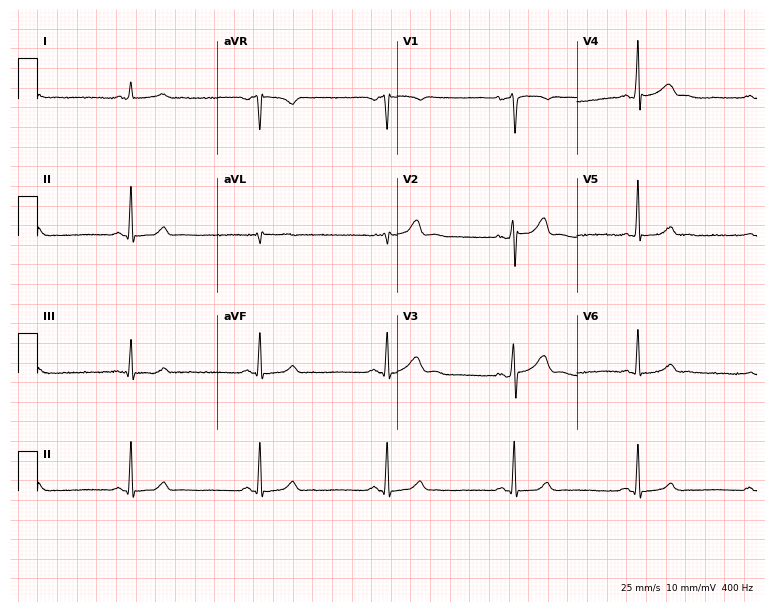
ECG — a man, 64 years old. Screened for six findings — first-degree AV block, right bundle branch block (RBBB), left bundle branch block (LBBB), sinus bradycardia, atrial fibrillation (AF), sinus tachycardia — none is recorded. Findings outside these six are not listed.